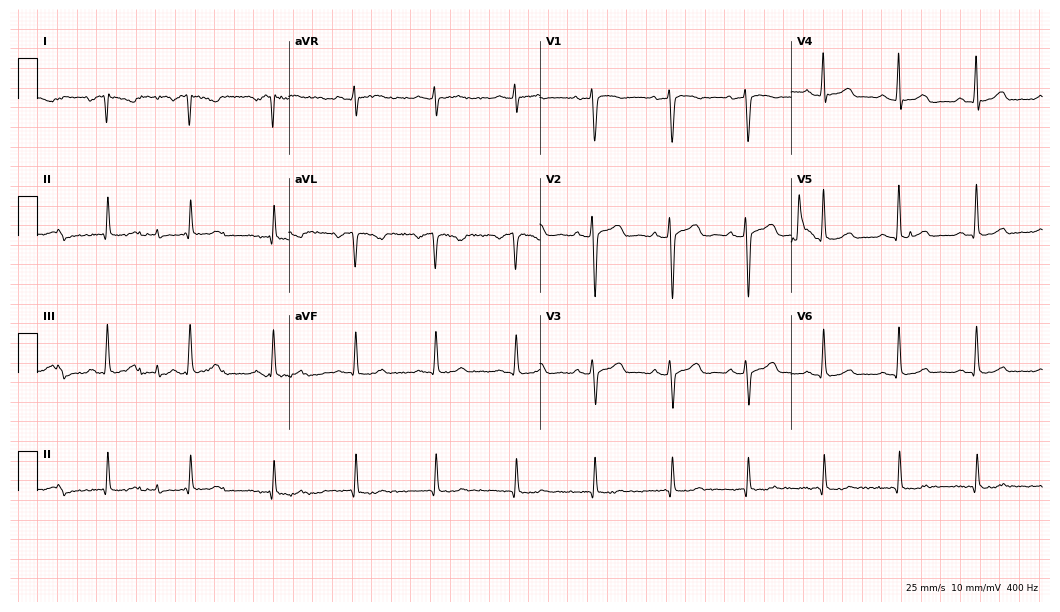
Standard 12-lead ECG recorded from a female, 38 years old. None of these six findings is recorded: first-degree AV block, right bundle branch block (RBBB), left bundle branch block (LBBB), sinus bradycardia, atrial fibrillation (AF), sinus tachycardia.